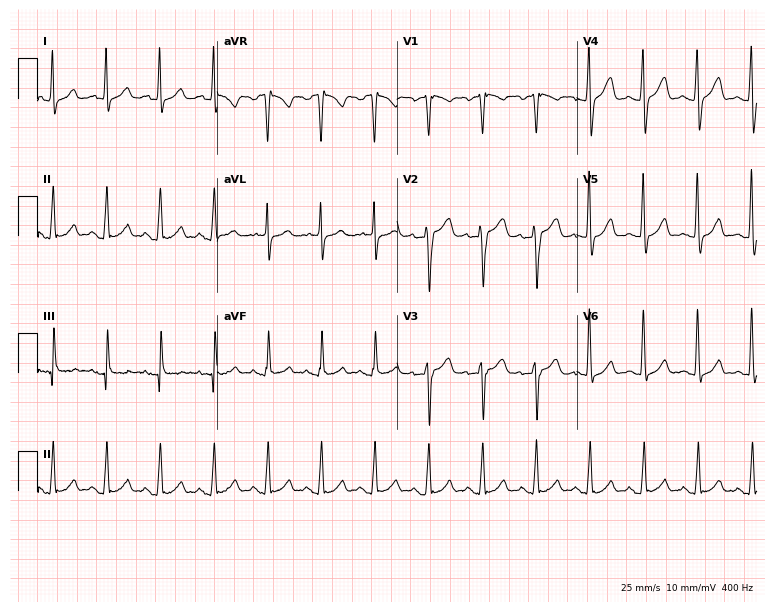
12-lead ECG (7.3-second recording at 400 Hz) from a man, 25 years old. Screened for six findings — first-degree AV block, right bundle branch block, left bundle branch block, sinus bradycardia, atrial fibrillation, sinus tachycardia — none is recorded.